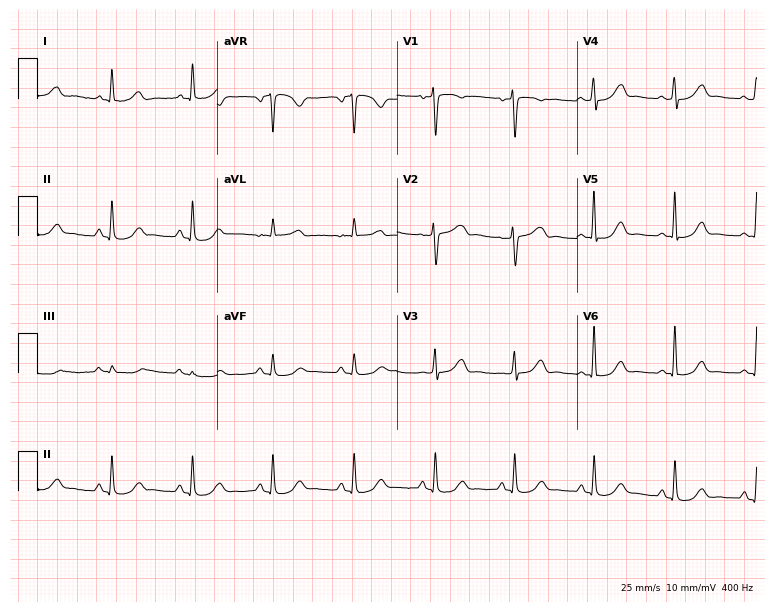
Standard 12-lead ECG recorded from a 52-year-old female. None of these six findings is recorded: first-degree AV block, right bundle branch block, left bundle branch block, sinus bradycardia, atrial fibrillation, sinus tachycardia.